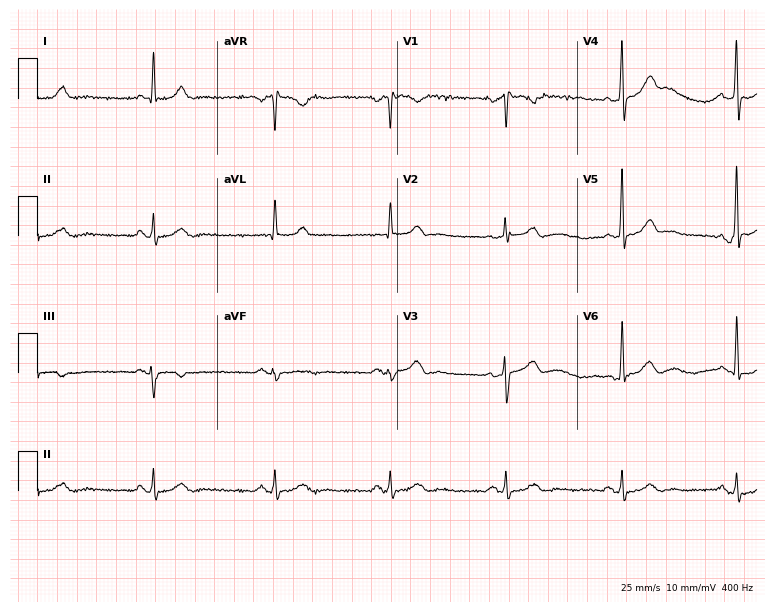
ECG (7.3-second recording at 400 Hz) — a man, 43 years old. Findings include sinus bradycardia (a sinus rate of 50 beats per minute or less).